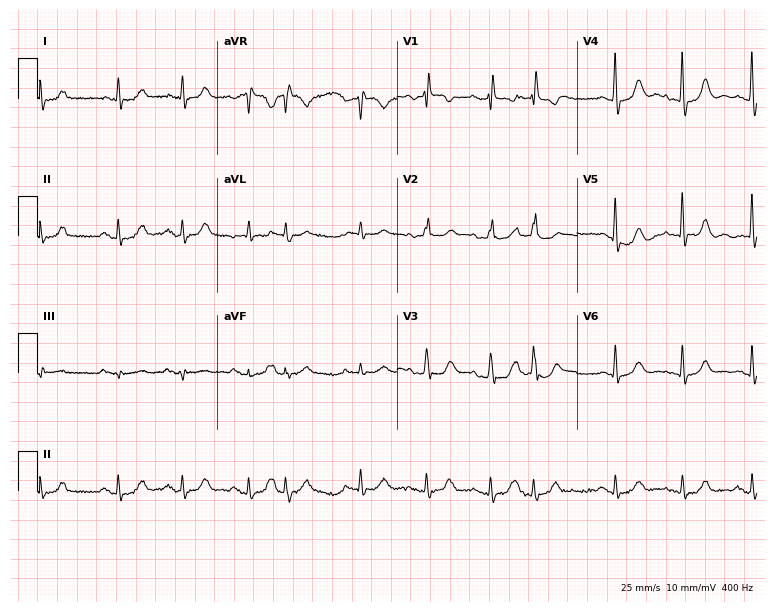
12-lead ECG from a 77-year-old woman. No first-degree AV block, right bundle branch block (RBBB), left bundle branch block (LBBB), sinus bradycardia, atrial fibrillation (AF) or sinus tachycardia recorded for this tracing.